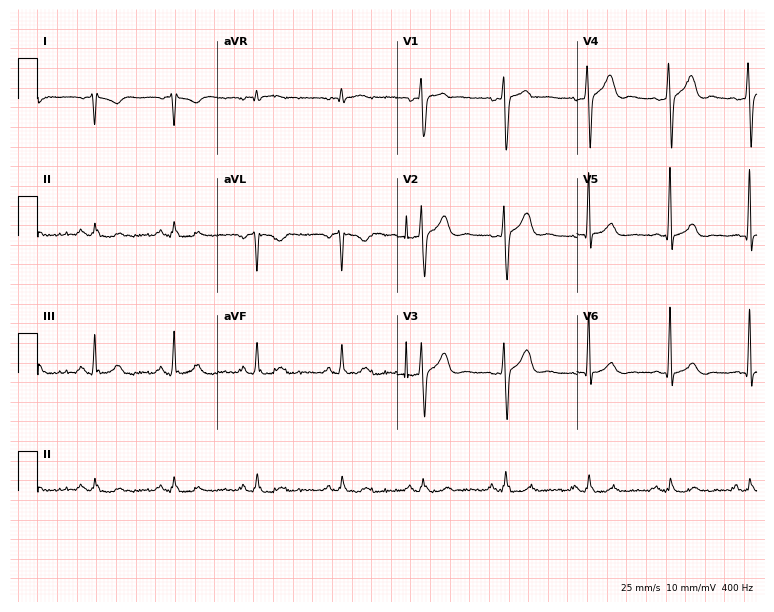
Standard 12-lead ECG recorded from a 42-year-old male patient (7.3-second recording at 400 Hz). None of these six findings is recorded: first-degree AV block, right bundle branch block, left bundle branch block, sinus bradycardia, atrial fibrillation, sinus tachycardia. Only these six findings were labelled.